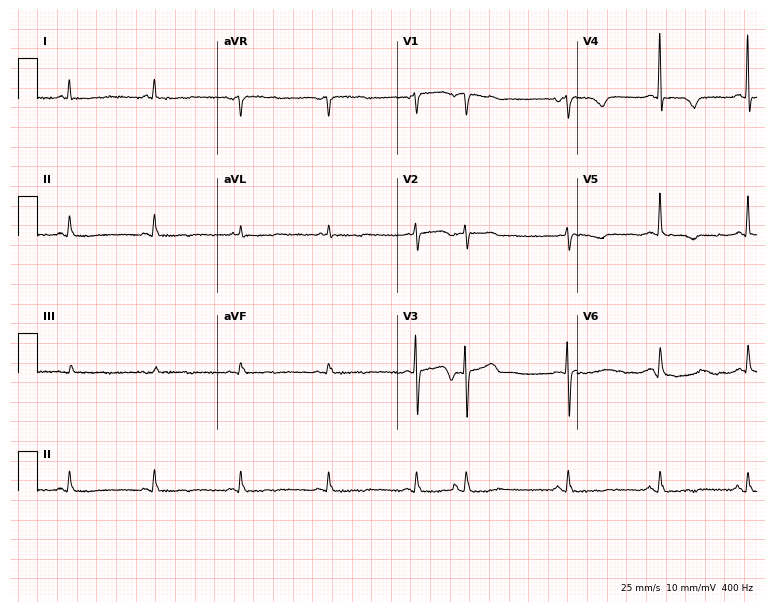
ECG — an 81-year-old female. Screened for six findings — first-degree AV block, right bundle branch block (RBBB), left bundle branch block (LBBB), sinus bradycardia, atrial fibrillation (AF), sinus tachycardia — none is recorded. Only these six findings were labelled.